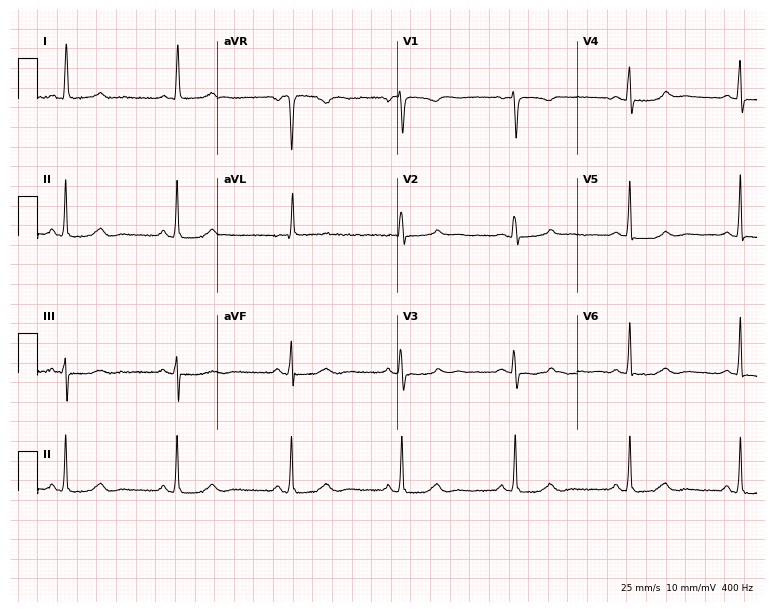
12-lead ECG (7.3-second recording at 400 Hz) from a 68-year-old woman. Screened for six findings — first-degree AV block, right bundle branch block, left bundle branch block, sinus bradycardia, atrial fibrillation, sinus tachycardia — none is recorded.